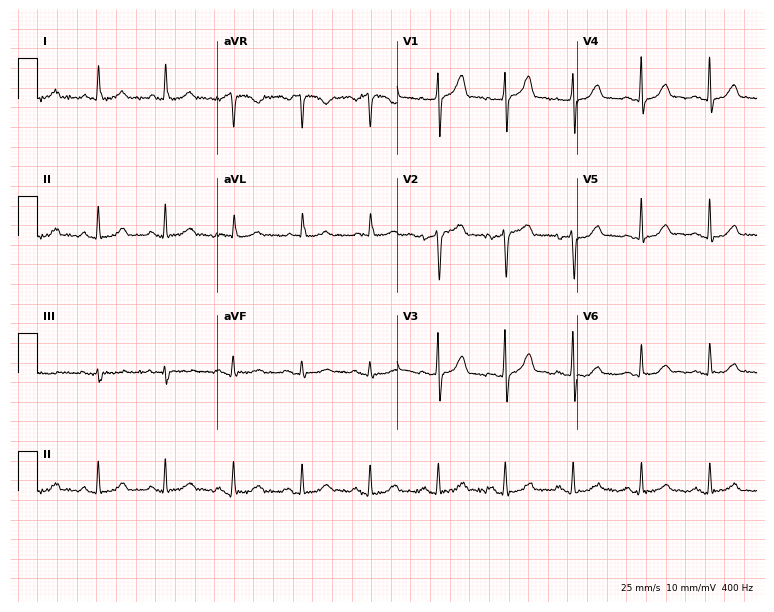
Electrocardiogram, a woman, 58 years old. Overall reading on record: normal ECG.